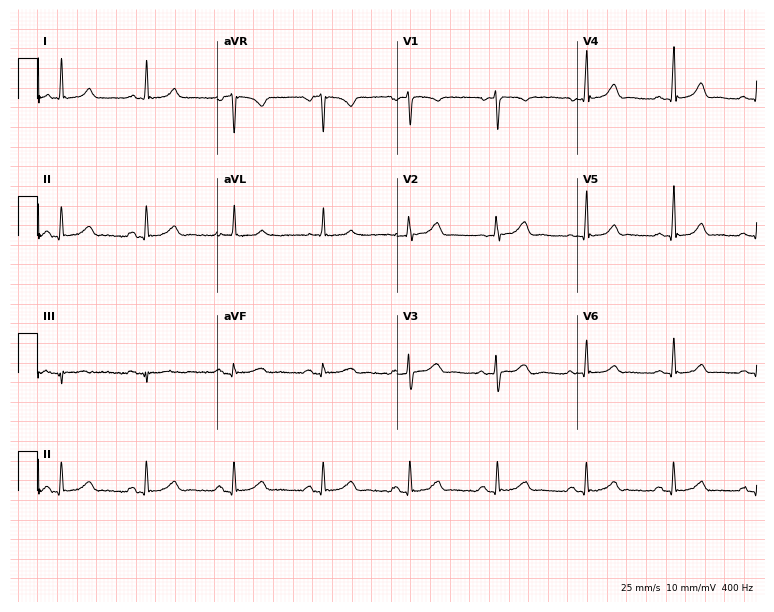
ECG (7.3-second recording at 400 Hz) — a female, 33 years old. Labelled as a normal ECG.